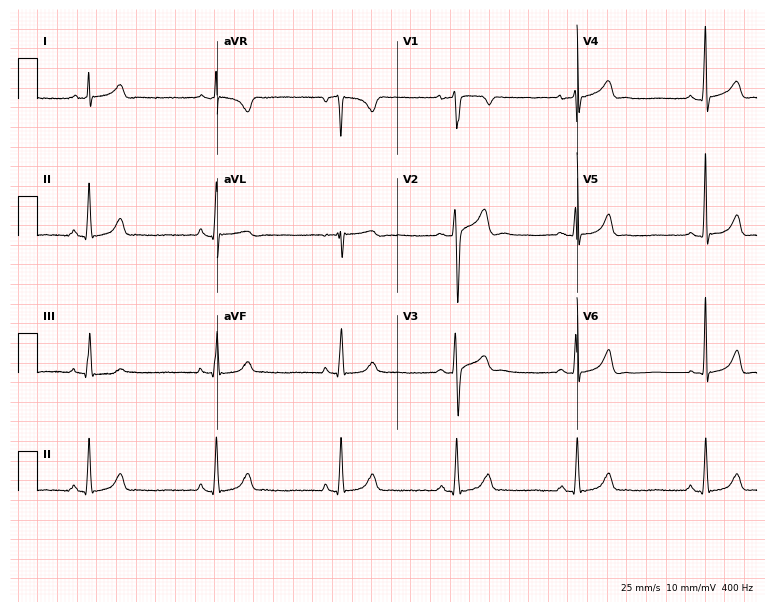
12-lead ECG (7.3-second recording at 400 Hz) from a man, 26 years old. Findings include sinus bradycardia (a sinus rate of 50 beats per minute or less).